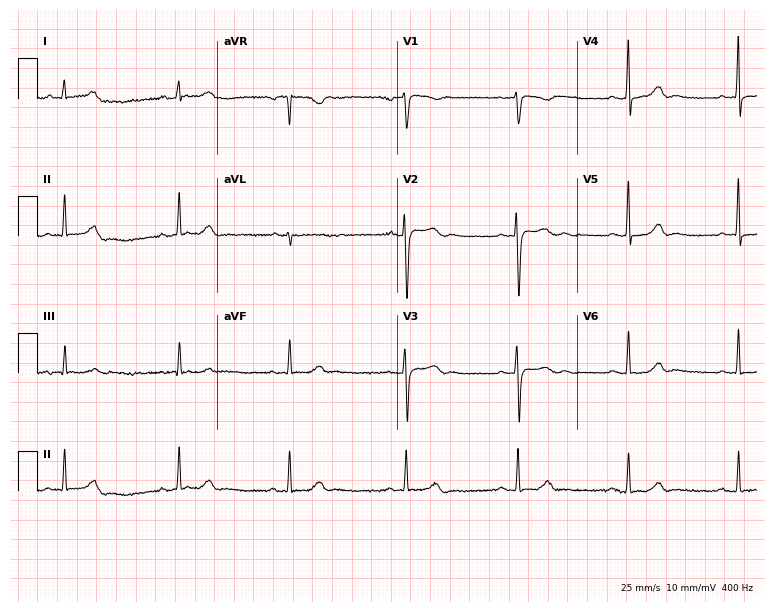
ECG — a 28-year-old woman. Labelled as a normal ECG.